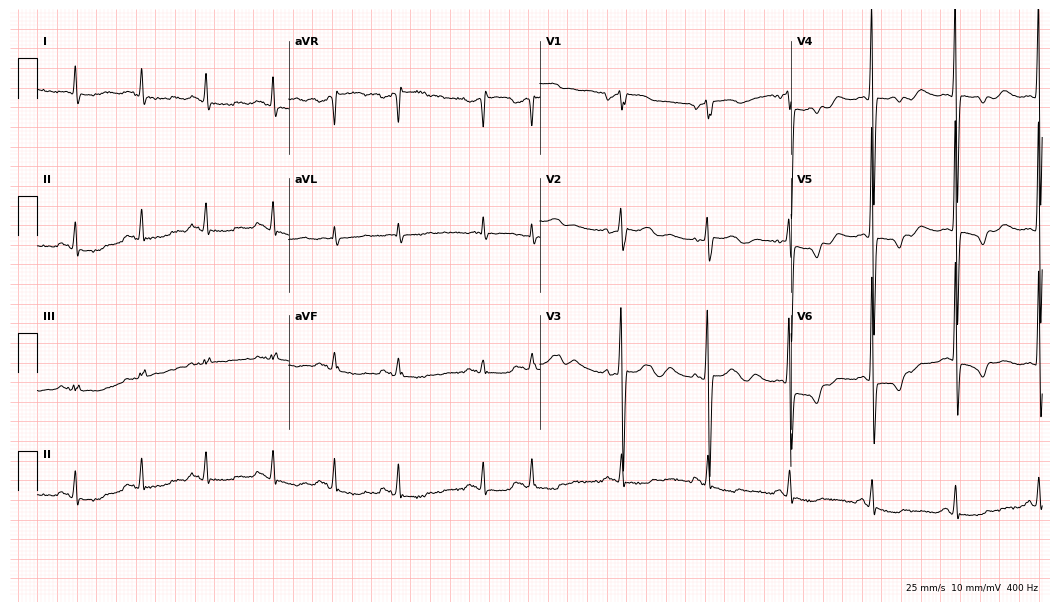
12-lead ECG from a 78-year-old male. No first-degree AV block, right bundle branch block, left bundle branch block, sinus bradycardia, atrial fibrillation or sinus tachycardia recorded for this tracing.